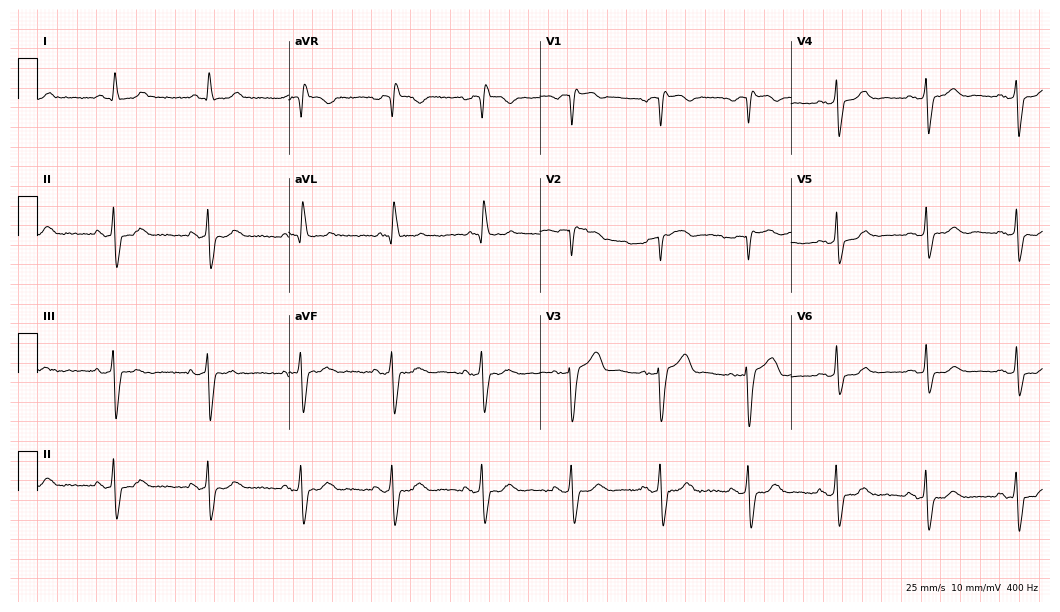
Electrocardiogram (10.2-second recording at 400 Hz), a 75-year-old female patient. Of the six screened findings (first-degree AV block, right bundle branch block (RBBB), left bundle branch block (LBBB), sinus bradycardia, atrial fibrillation (AF), sinus tachycardia), none is recorded.